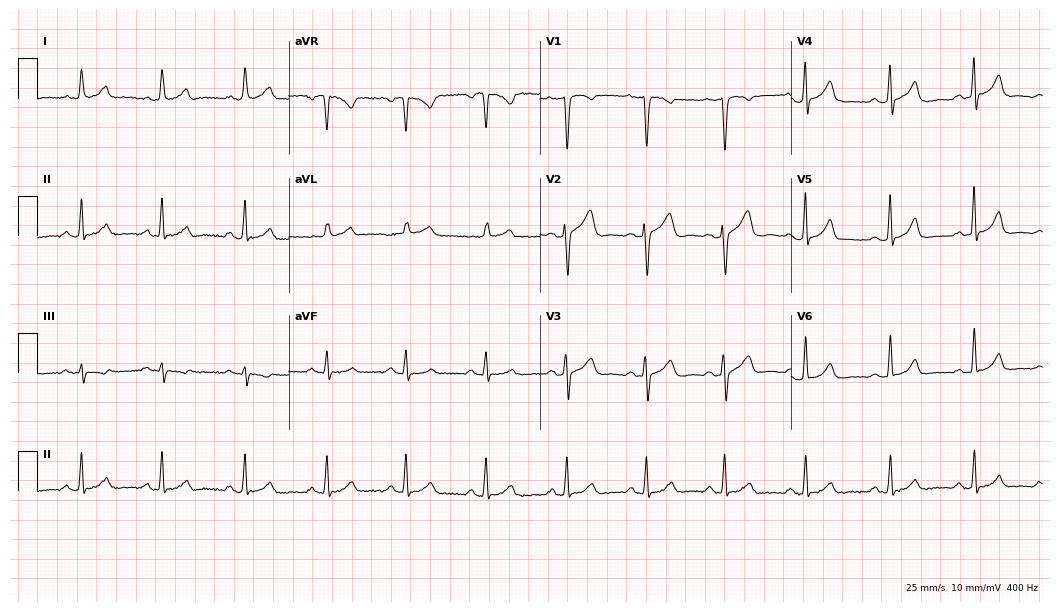
Resting 12-lead electrocardiogram. Patient: a 42-year-old female. Read as a normal ECG.